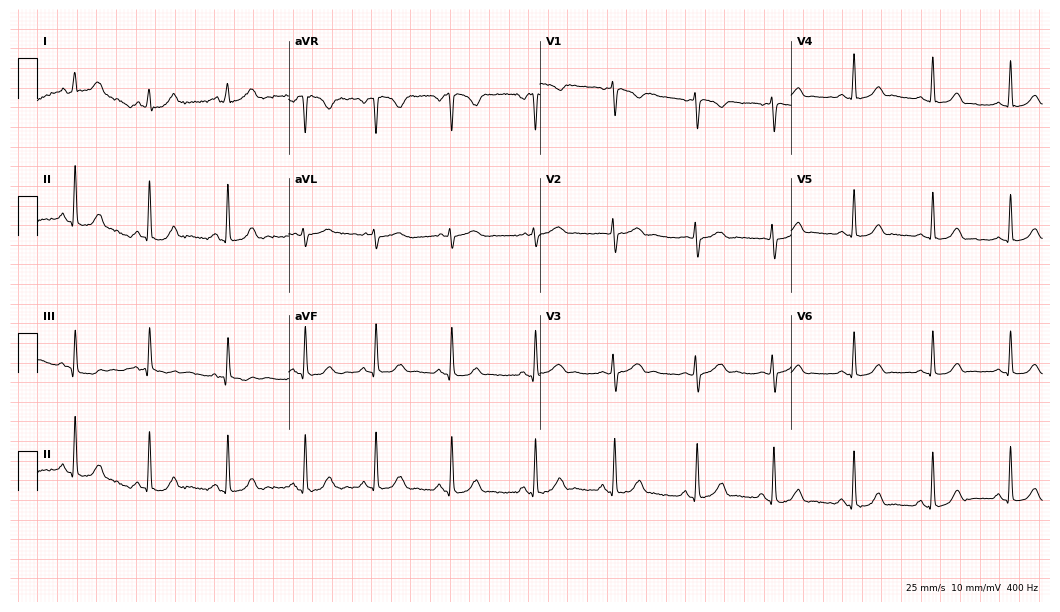
12-lead ECG from a 19-year-old female. Labelled as a normal ECG.